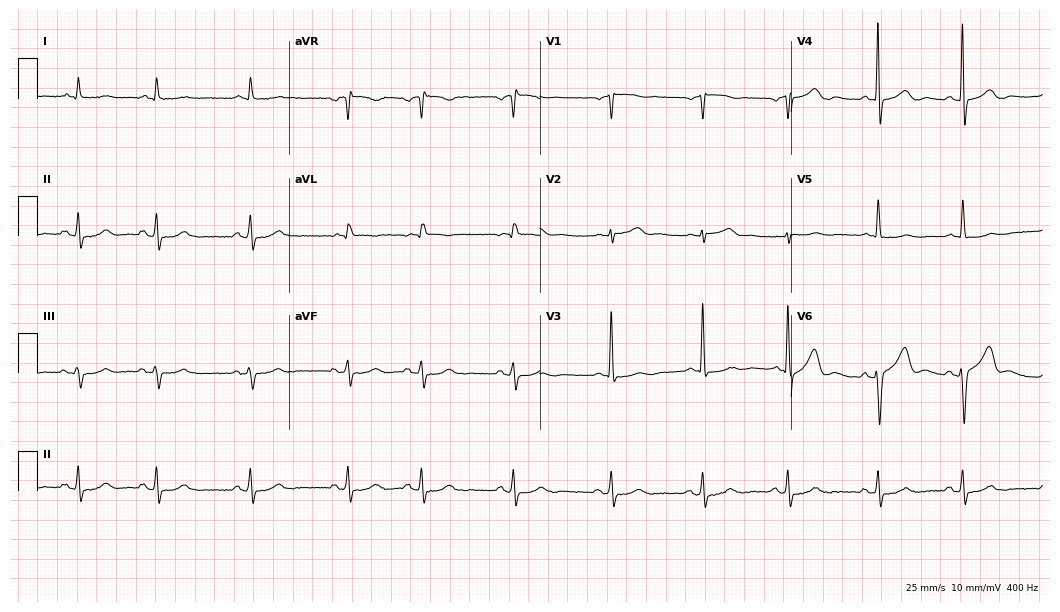
ECG (10.2-second recording at 400 Hz) — a man, 61 years old. Screened for six findings — first-degree AV block, right bundle branch block, left bundle branch block, sinus bradycardia, atrial fibrillation, sinus tachycardia — none is recorded.